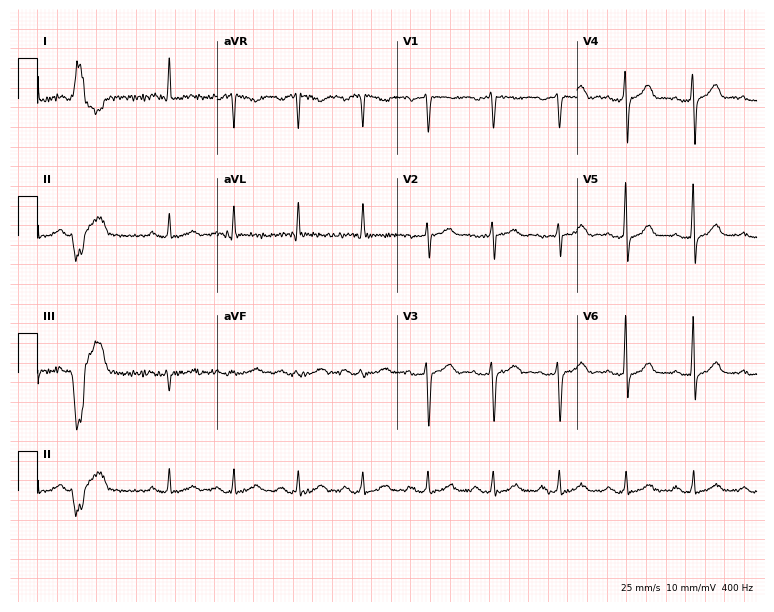
ECG — a male, 66 years old. Labelled as a normal ECG.